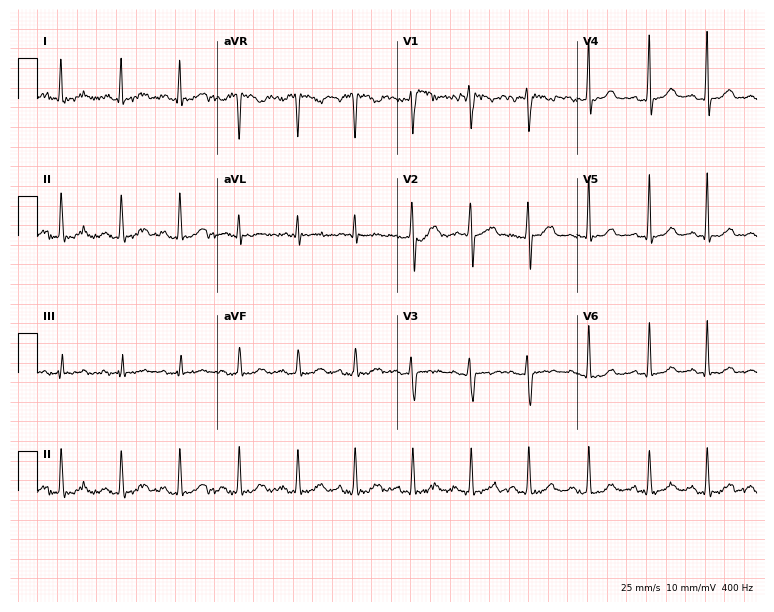
12-lead ECG from a woman, 28 years old. Labelled as a normal ECG.